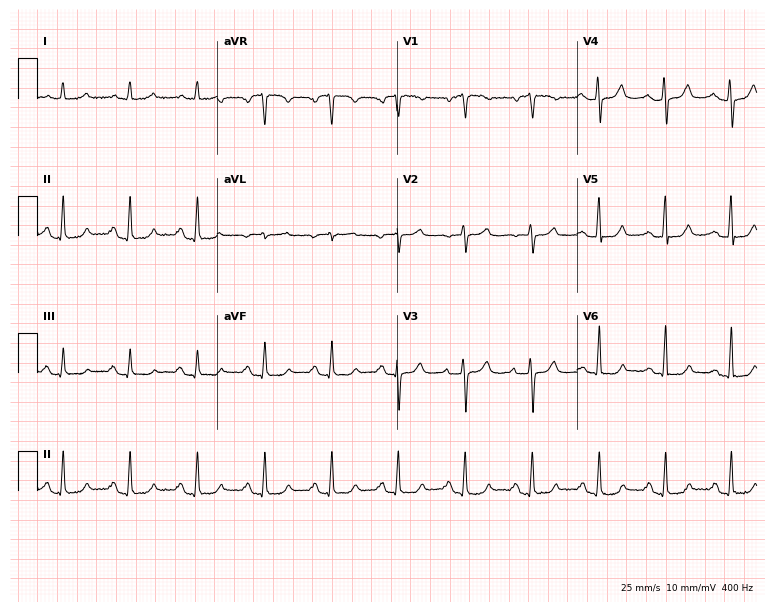
Standard 12-lead ECG recorded from a woman, 69 years old (7.3-second recording at 400 Hz). None of these six findings is recorded: first-degree AV block, right bundle branch block (RBBB), left bundle branch block (LBBB), sinus bradycardia, atrial fibrillation (AF), sinus tachycardia.